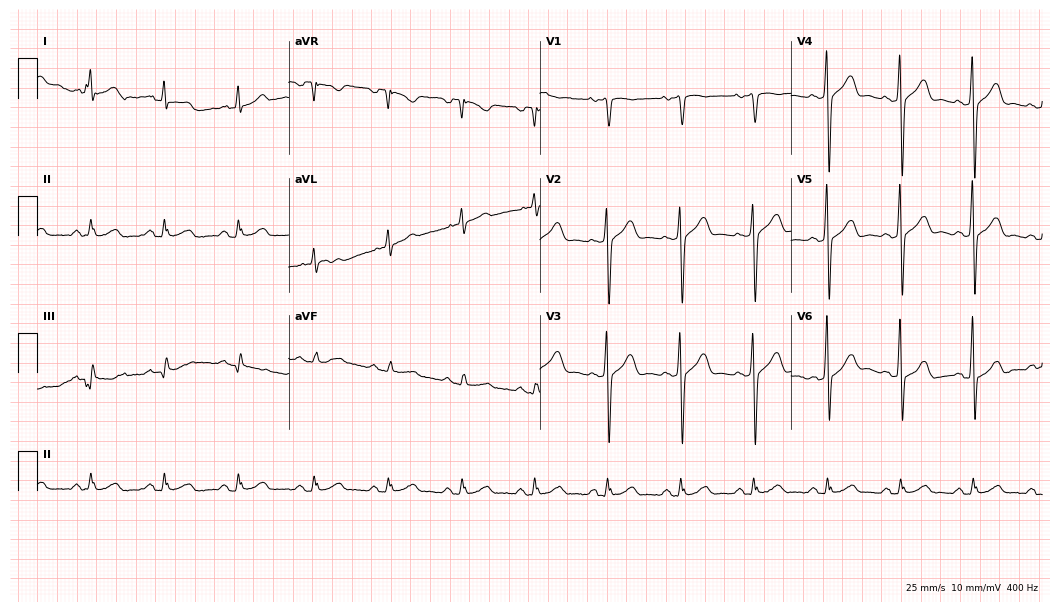
12-lead ECG from a 65-year-old male patient. Labelled as a normal ECG.